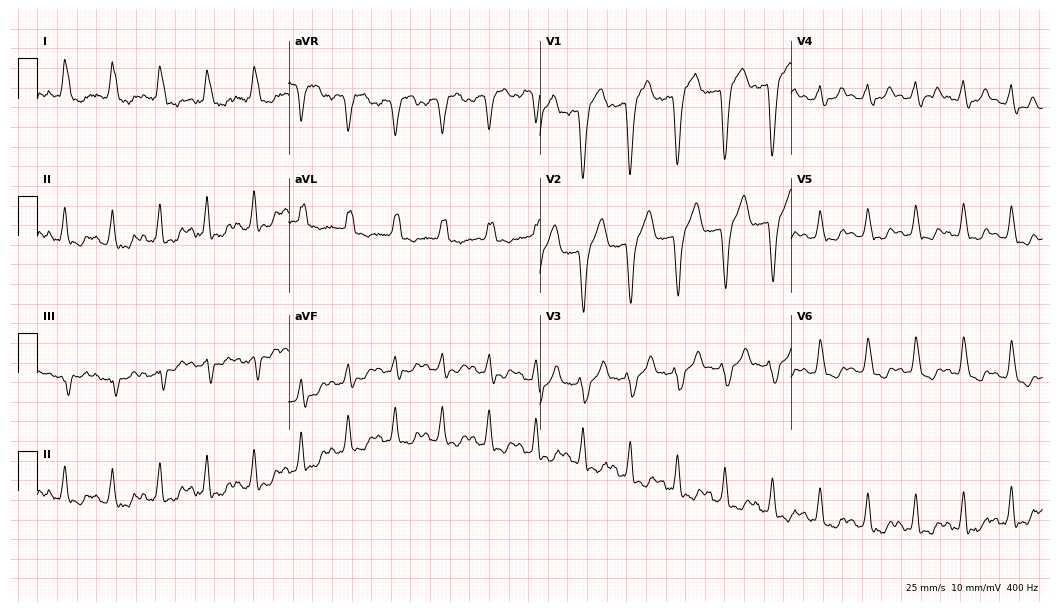
ECG — a woman, 50 years old. Findings include left bundle branch block, sinus tachycardia (a sinus rate of 100 beats per minute or more).